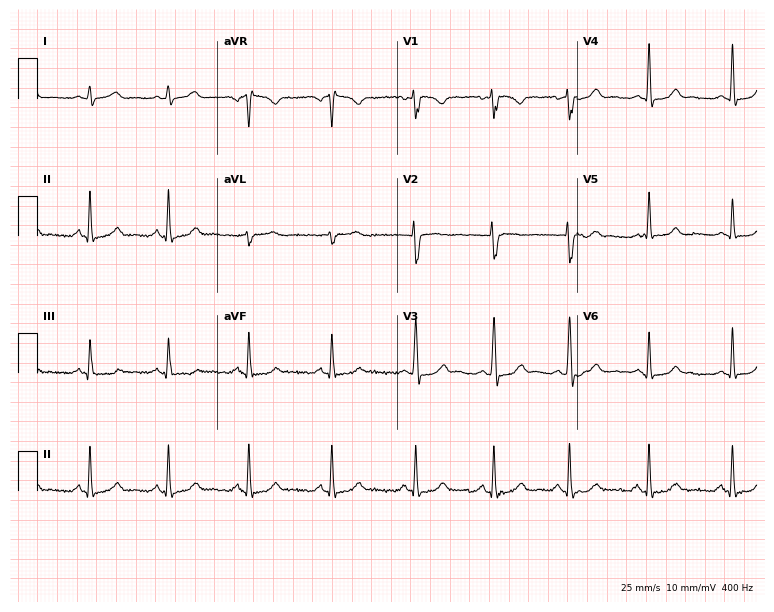
Standard 12-lead ECG recorded from a woman, 31 years old. Read as a normal ECG.